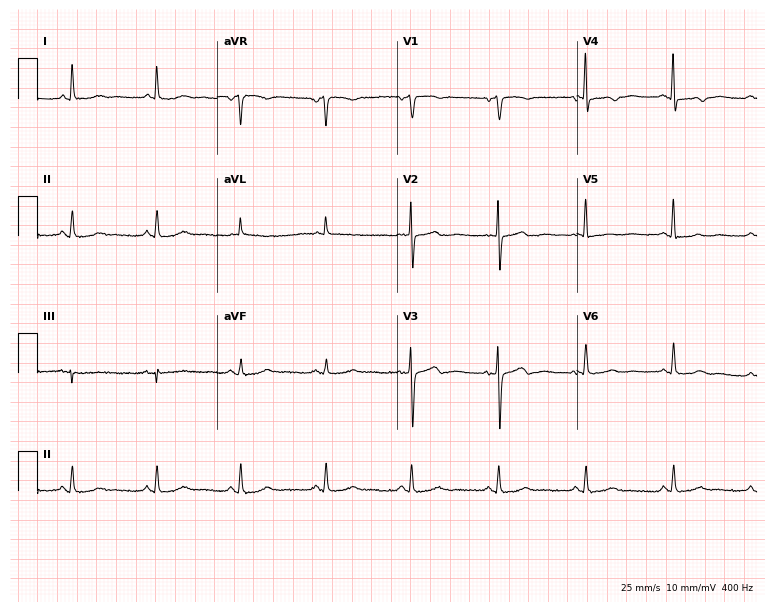
Electrocardiogram, a female patient, 63 years old. Of the six screened findings (first-degree AV block, right bundle branch block (RBBB), left bundle branch block (LBBB), sinus bradycardia, atrial fibrillation (AF), sinus tachycardia), none is recorded.